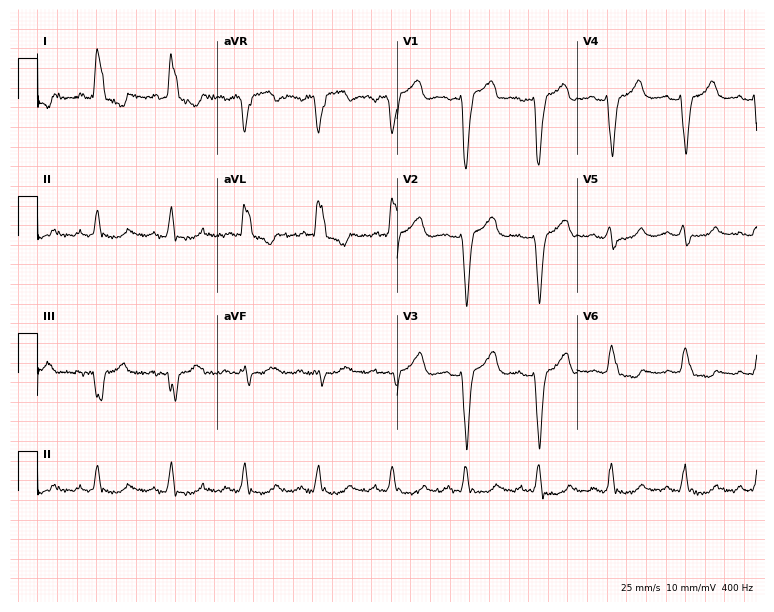
Electrocardiogram, a 74-year-old woman. Interpretation includes left bundle branch block (LBBB).